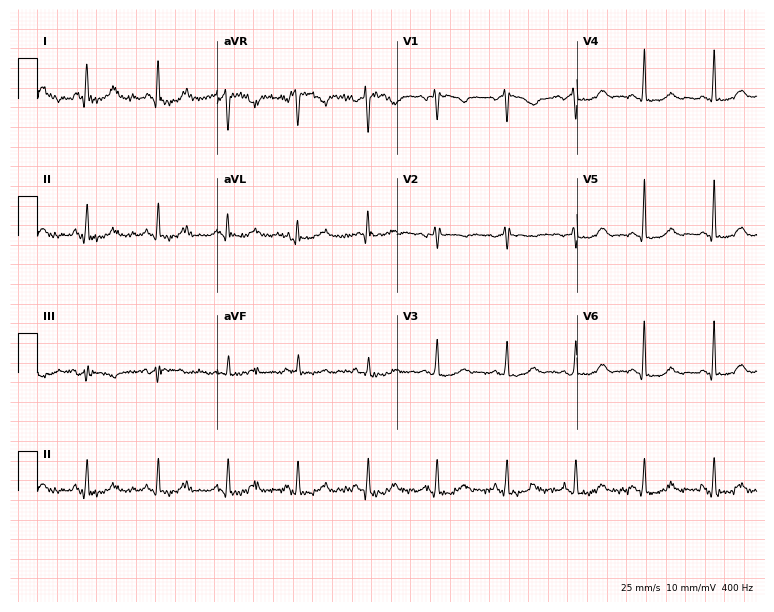
Electrocardiogram (7.3-second recording at 400 Hz), a woman, 56 years old. Of the six screened findings (first-degree AV block, right bundle branch block, left bundle branch block, sinus bradycardia, atrial fibrillation, sinus tachycardia), none is recorded. Only these six findings were labelled.